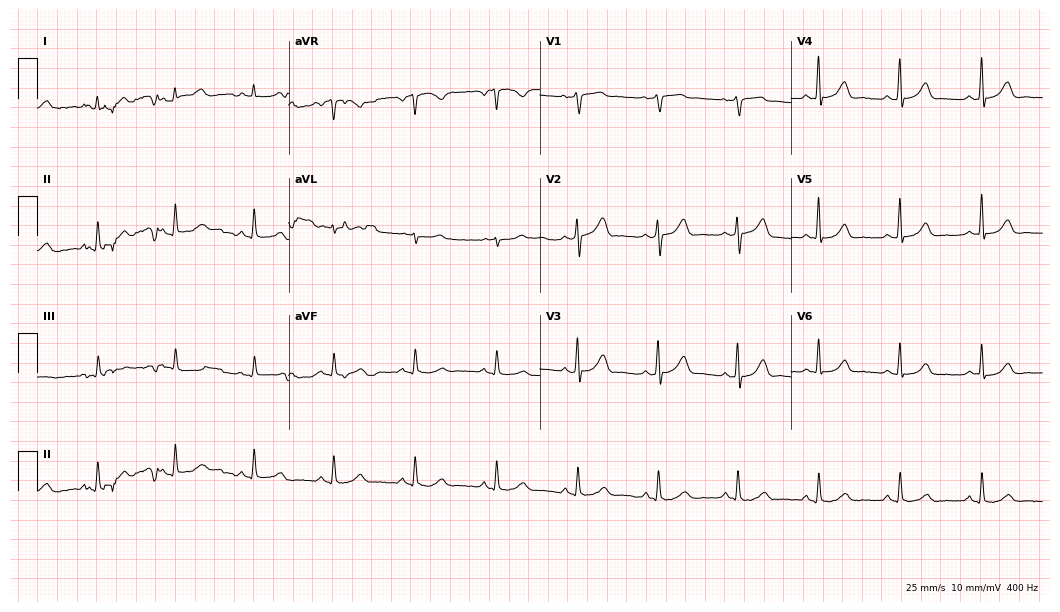
Electrocardiogram, a 62-year-old male patient. Of the six screened findings (first-degree AV block, right bundle branch block, left bundle branch block, sinus bradycardia, atrial fibrillation, sinus tachycardia), none is recorded. Other findings, if any, are not listed.